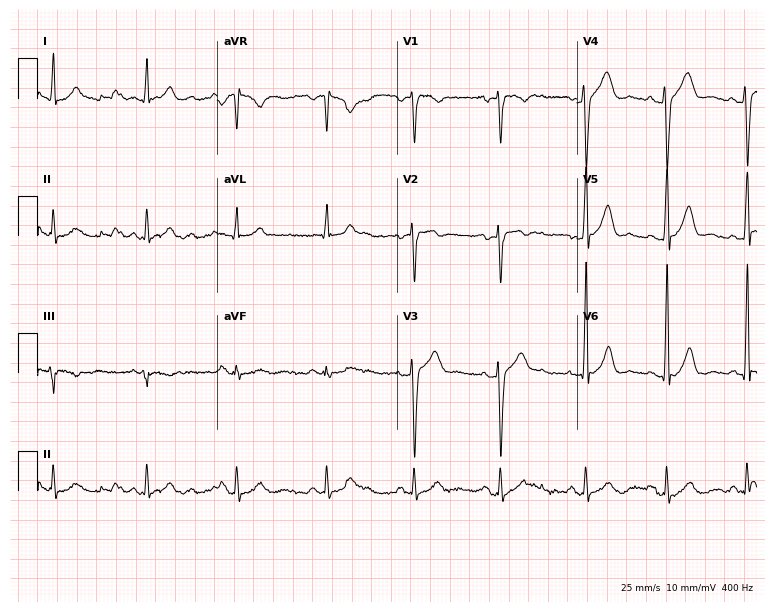
12-lead ECG from a male patient, 33 years old (7.3-second recording at 400 Hz). Recorded interpretation: within normal limits.